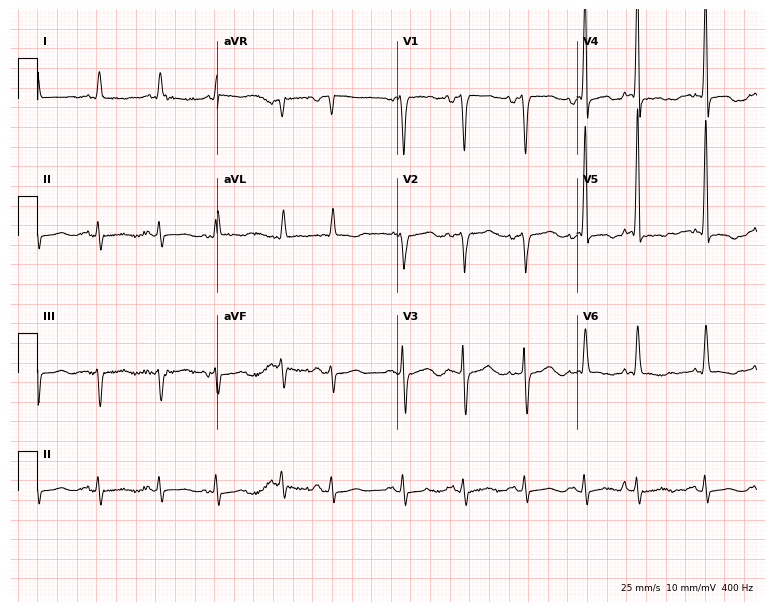
Electrocardiogram, a man, 79 years old. Of the six screened findings (first-degree AV block, right bundle branch block, left bundle branch block, sinus bradycardia, atrial fibrillation, sinus tachycardia), none is recorded. Findings outside these six are not listed.